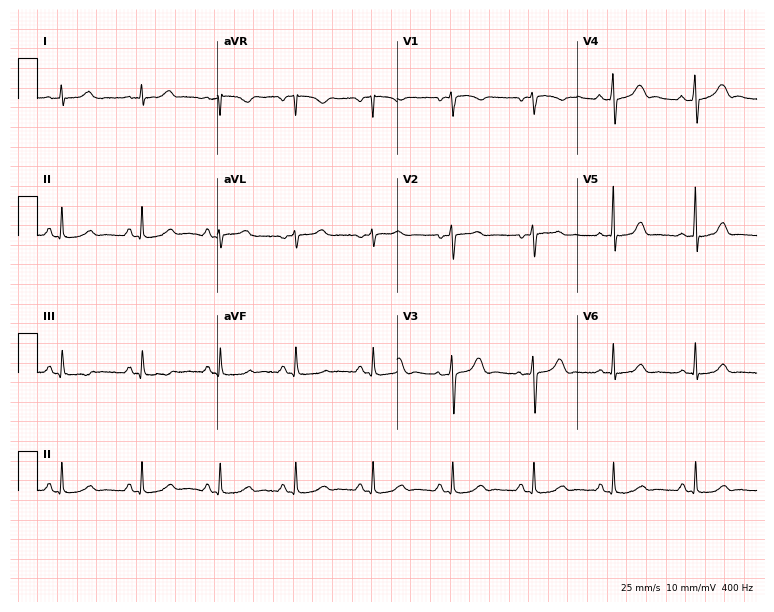
Electrocardiogram, a 30-year-old woman. Overall reading on record: normal ECG.